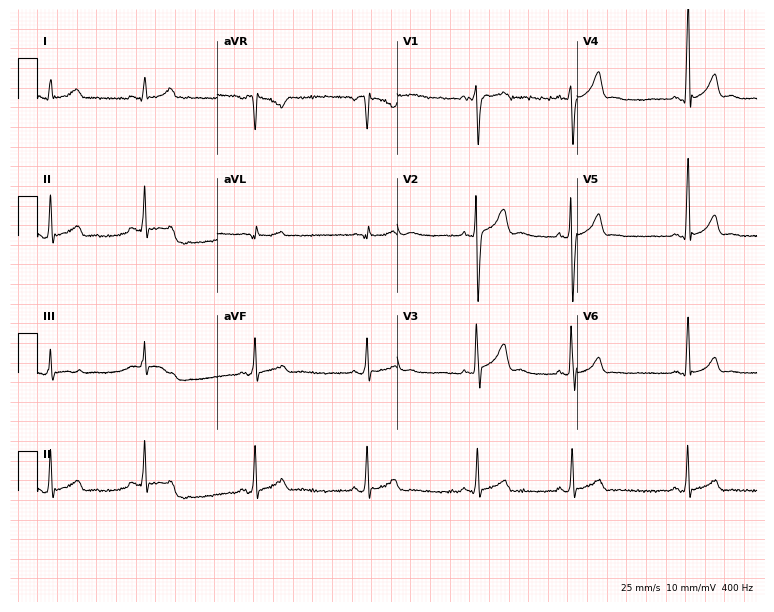
Resting 12-lead electrocardiogram (7.3-second recording at 400 Hz). Patient: an 18-year-old male. Read as a normal ECG.